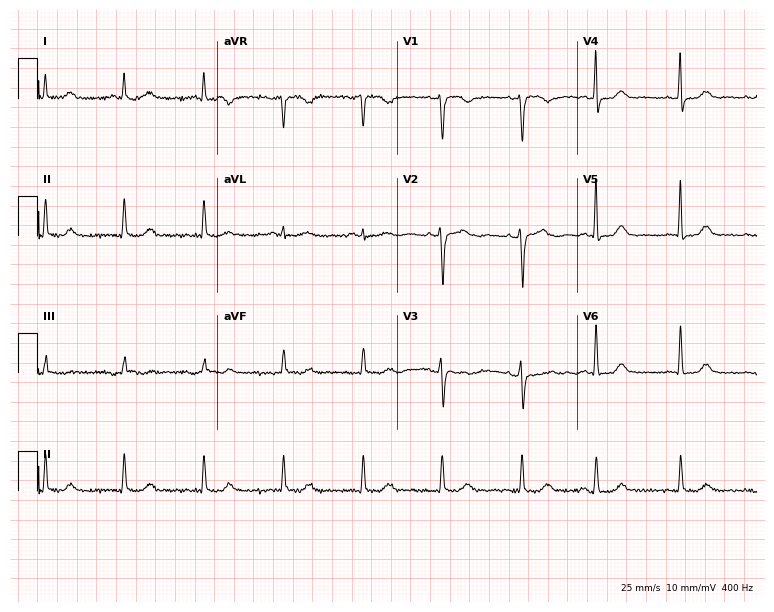
Standard 12-lead ECG recorded from a female, 66 years old (7.3-second recording at 400 Hz). Read as a normal ECG.